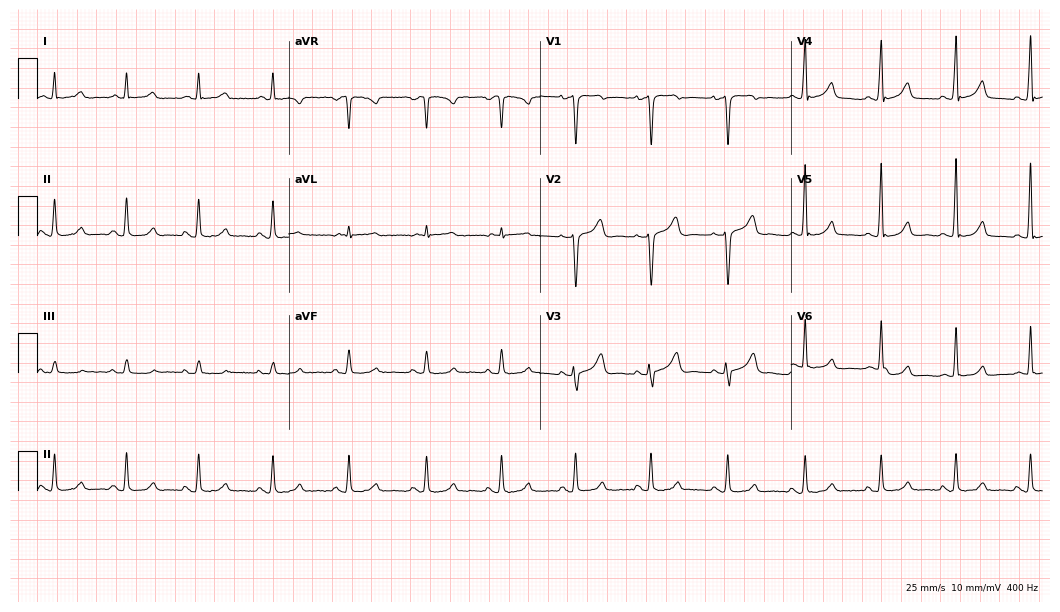
Electrocardiogram (10.2-second recording at 400 Hz), a 45-year-old male. Overall reading on record: normal ECG.